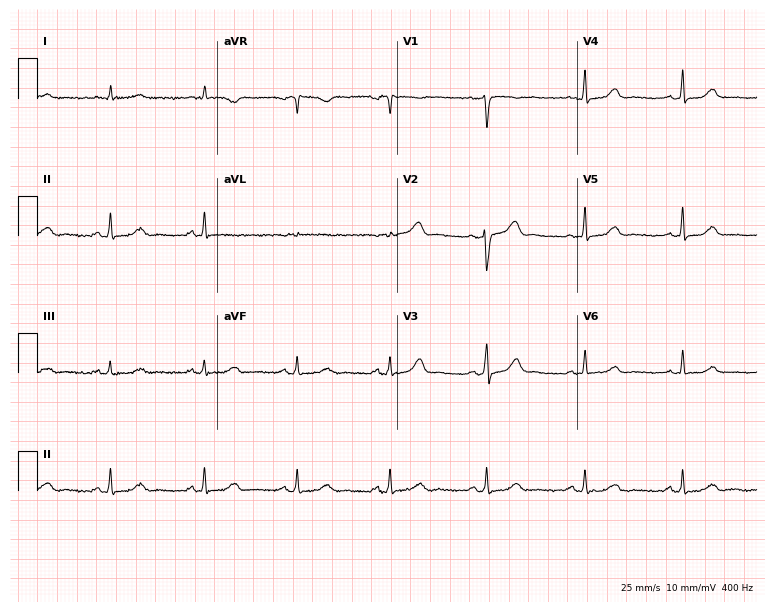
ECG — a woman, 42 years old. Screened for six findings — first-degree AV block, right bundle branch block, left bundle branch block, sinus bradycardia, atrial fibrillation, sinus tachycardia — none is recorded. Only these six findings were labelled.